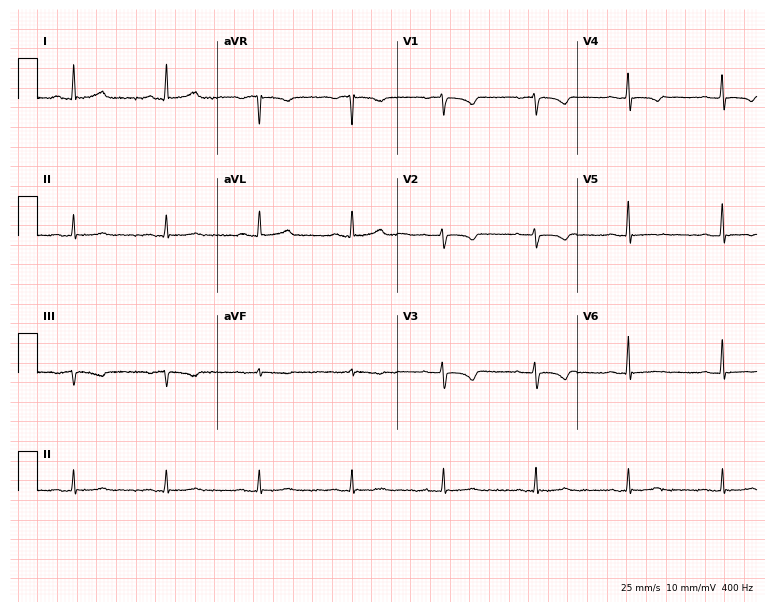
Resting 12-lead electrocardiogram. Patient: a female, 58 years old. None of these six findings is recorded: first-degree AV block, right bundle branch block, left bundle branch block, sinus bradycardia, atrial fibrillation, sinus tachycardia.